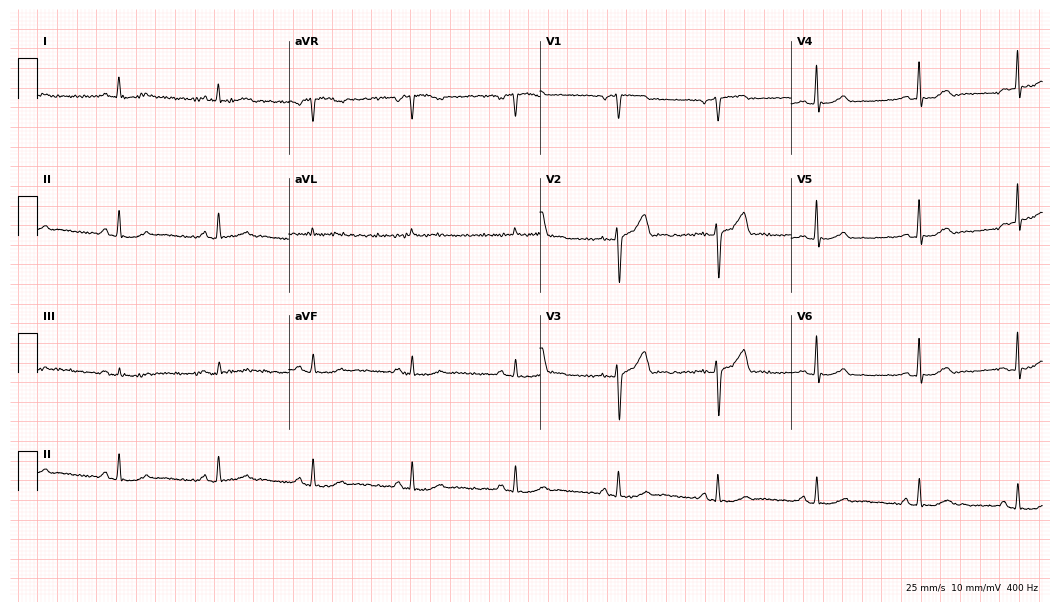
12-lead ECG from a 57-year-old man. Screened for six findings — first-degree AV block, right bundle branch block, left bundle branch block, sinus bradycardia, atrial fibrillation, sinus tachycardia — none is recorded.